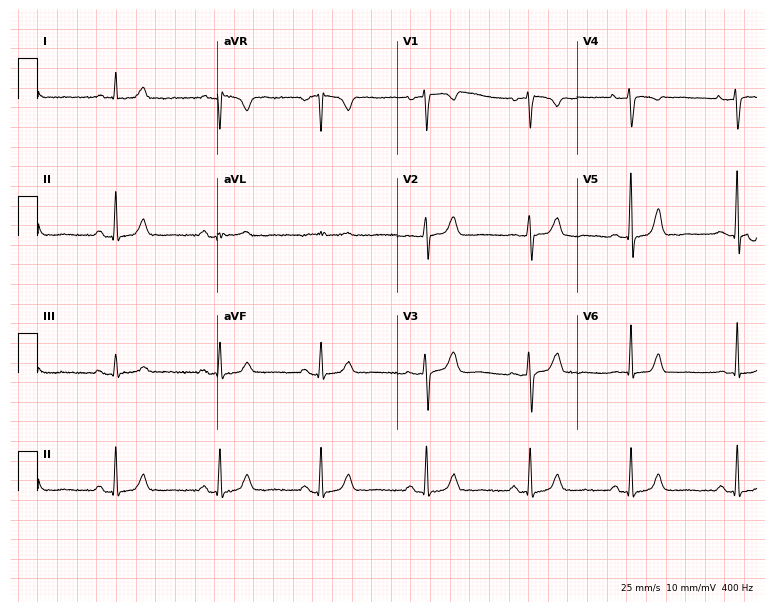
Electrocardiogram (7.3-second recording at 400 Hz), a woman, 61 years old. Overall reading on record: normal ECG.